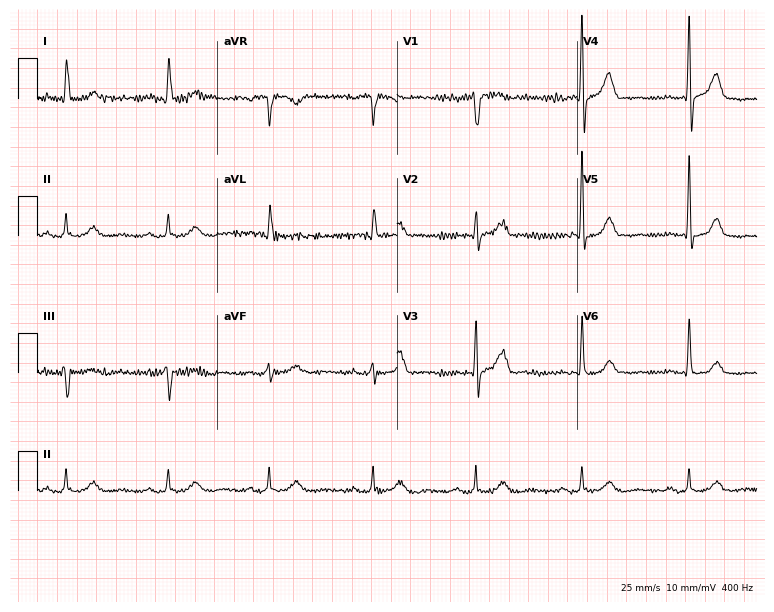
ECG (7.3-second recording at 400 Hz) — a 67-year-old male patient. Labelled as a normal ECG.